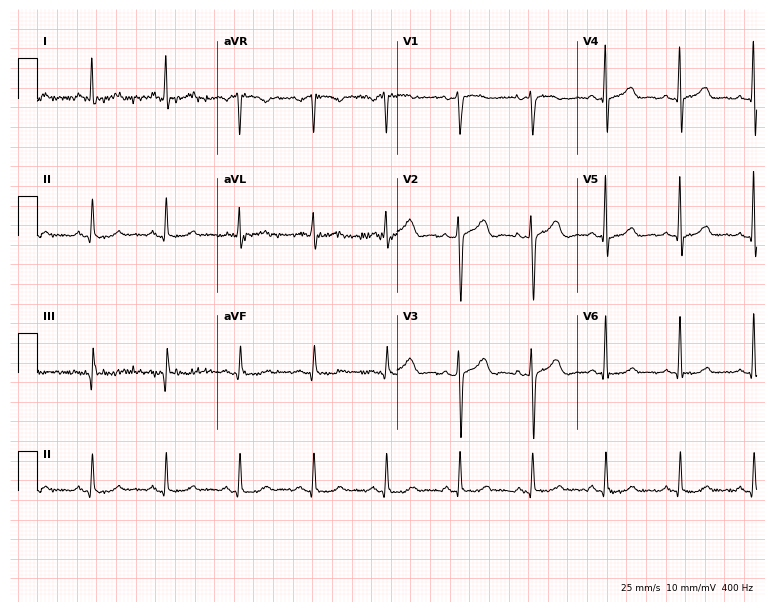
12-lead ECG from a female patient, 47 years old. No first-degree AV block, right bundle branch block (RBBB), left bundle branch block (LBBB), sinus bradycardia, atrial fibrillation (AF) or sinus tachycardia recorded for this tracing.